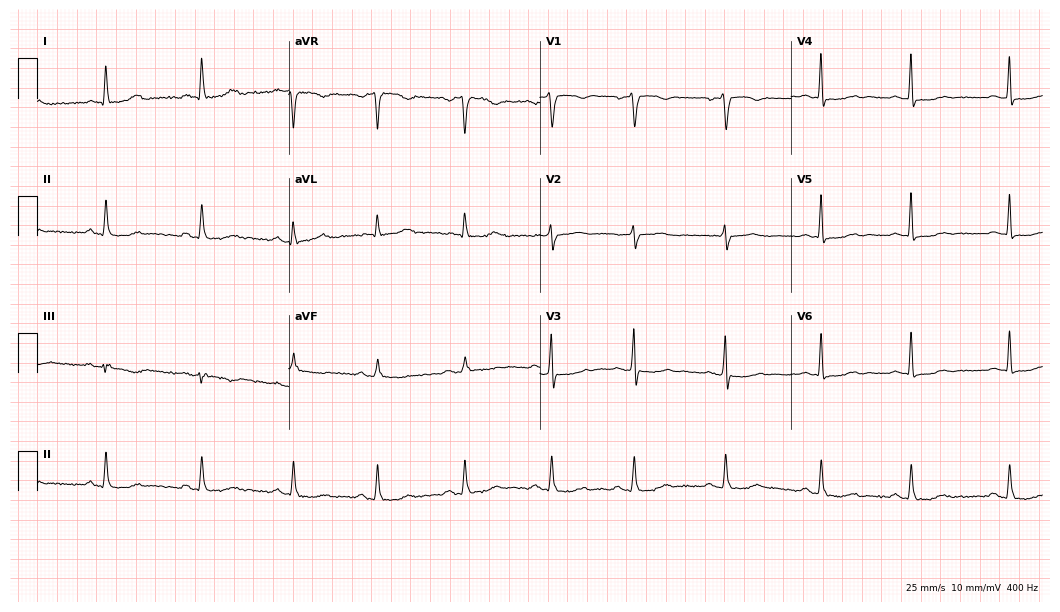
12-lead ECG from a 47-year-old female. No first-degree AV block, right bundle branch block, left bundle branch block, sinus bradycardia, atrial fibrillation or sinus tachycardia recorded for this tracing. Other findings, if any, are not listed.